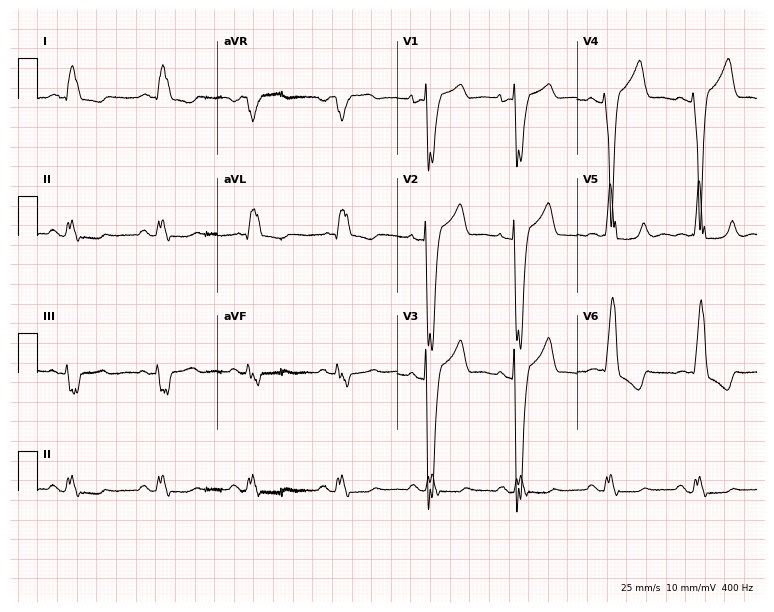
Electrocardiogram (7.3-second recording at 400 Hz), a 54-year-old woman. Interpretation includes left bundle branch block.